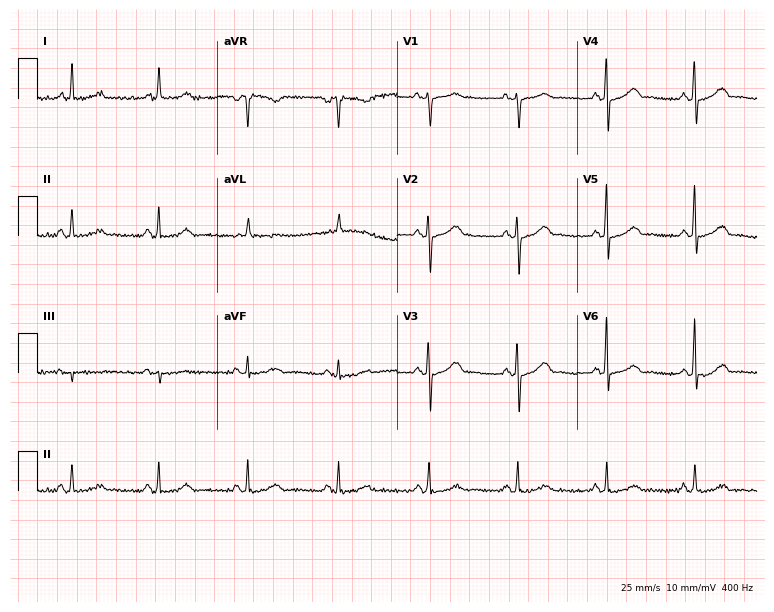
Electrocardiogram, a 74-year-old male. Overall reading on record: normal ECG.